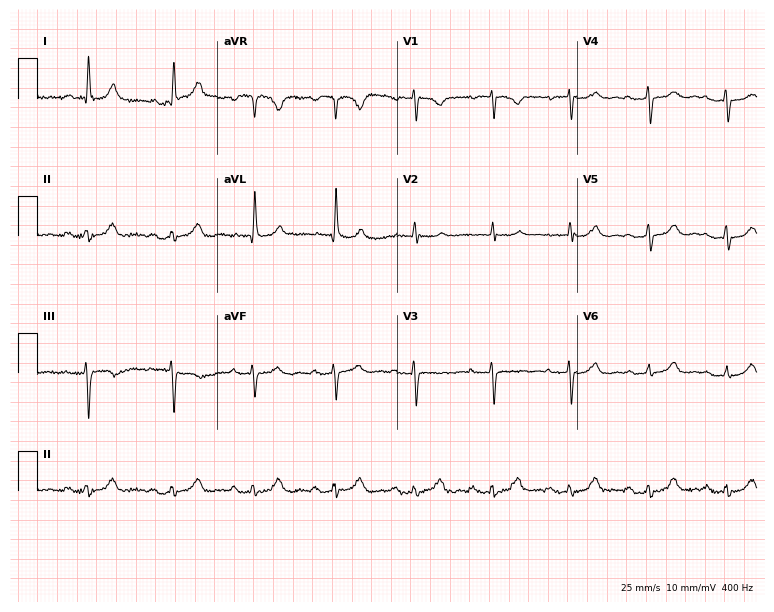
Electrocardiogram (7.3-second recording at 400 Hz), a female patient, 81 years old. Overall reading on record: normal ECG.